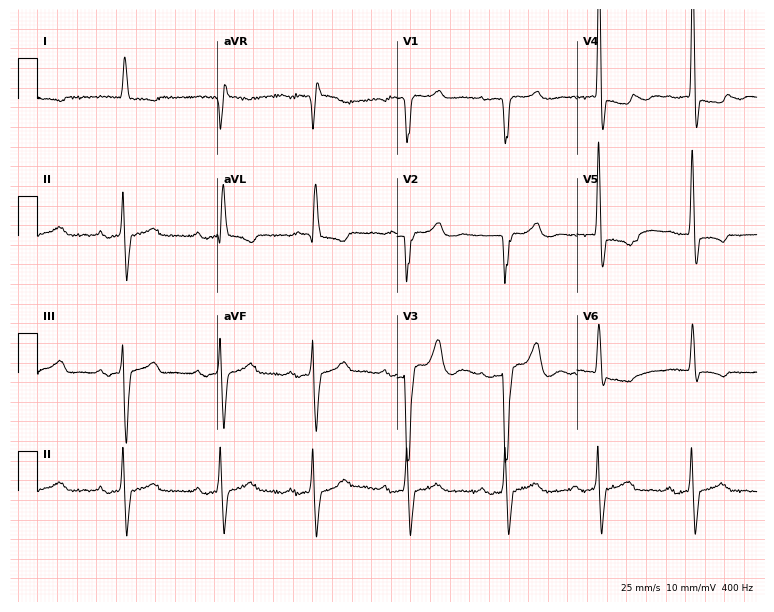
Electrocardiogram (7.3-second recording at 400 Hz), an 81-year-old female patient. Of the six screened findings (first-degree AV block, right bundle branch block, left bundle branch block, sinus bradycardia, atrial fibrillation, sinus tachycardia), none is recorded. Only these six findings were labelled.